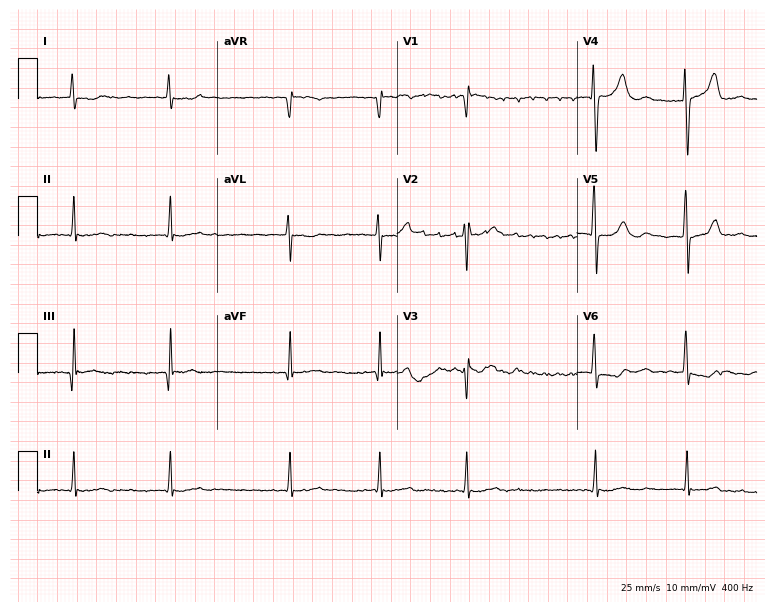
Standard 12-lead ECG recorded from a 74-year-old female. The tracing shows atrial fibrillation.